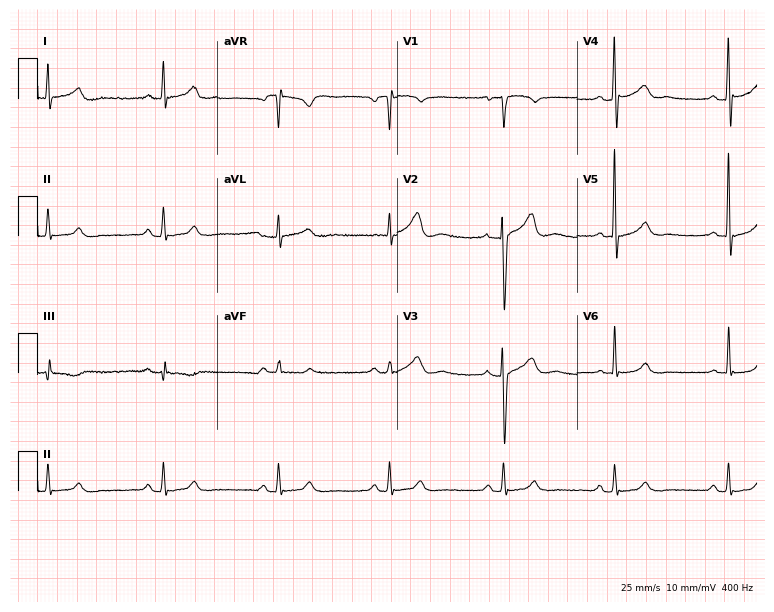
ECG (7.3-second recording at 400 Hz) — a 44-year-old male. Screened for six findings — first-degree AV block, right bundle branch block (RBBB), left bundle branch block (LBBB), sinus bradycardia, atrial fibrillation (AF), sinus tachycardia — none is recorded. Findings outside these six are not listed.